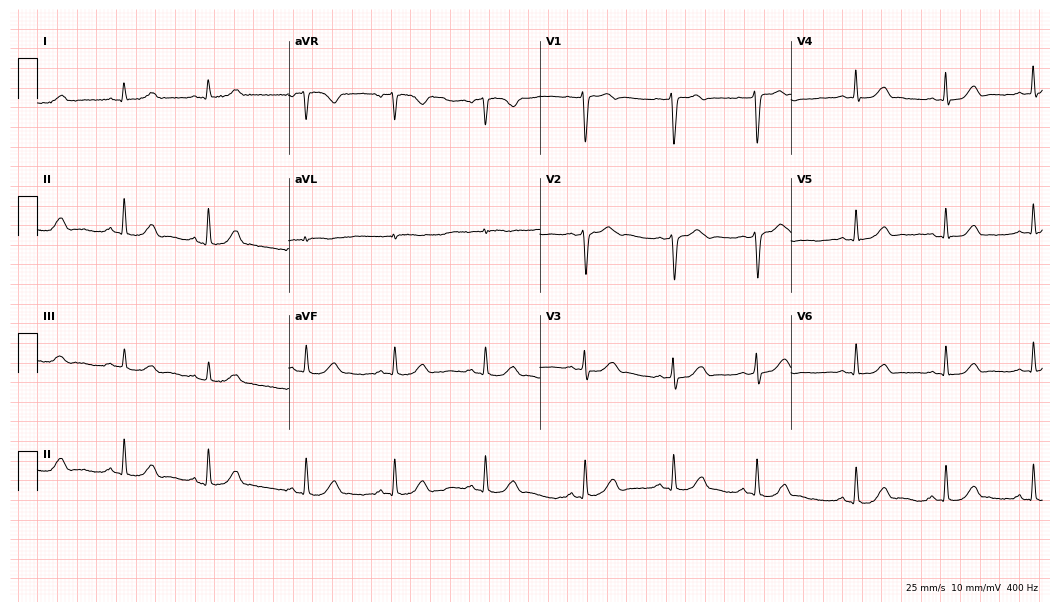
Electrocardiogram, a 28-year-old female. Overall reading on record: normal ECG.